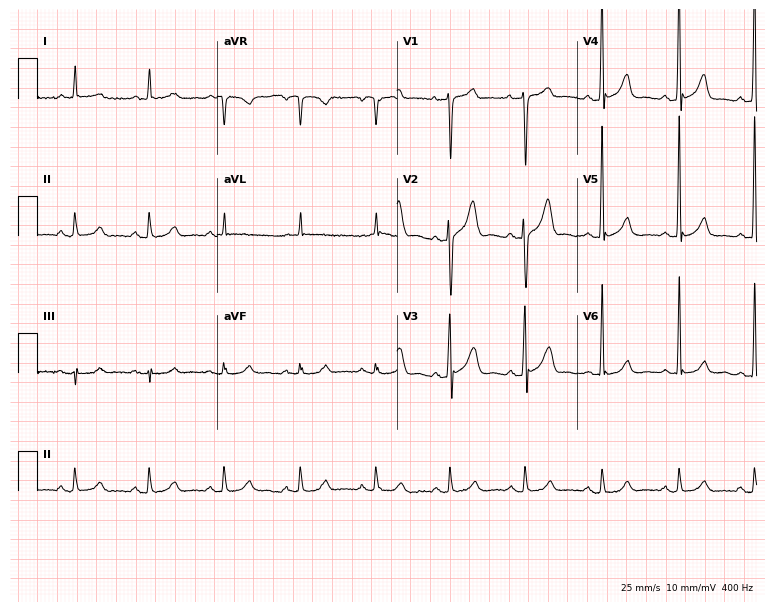
Standard 12-lead ECG recorded from a 61-year-old man (7.3-second recording at 400 Hz). None of these six findings is recorded: first-degree AV block, right bundle branch block, left bundle branch block, sinus bradycardia, atrial fibrillation, sinus tachycardia.